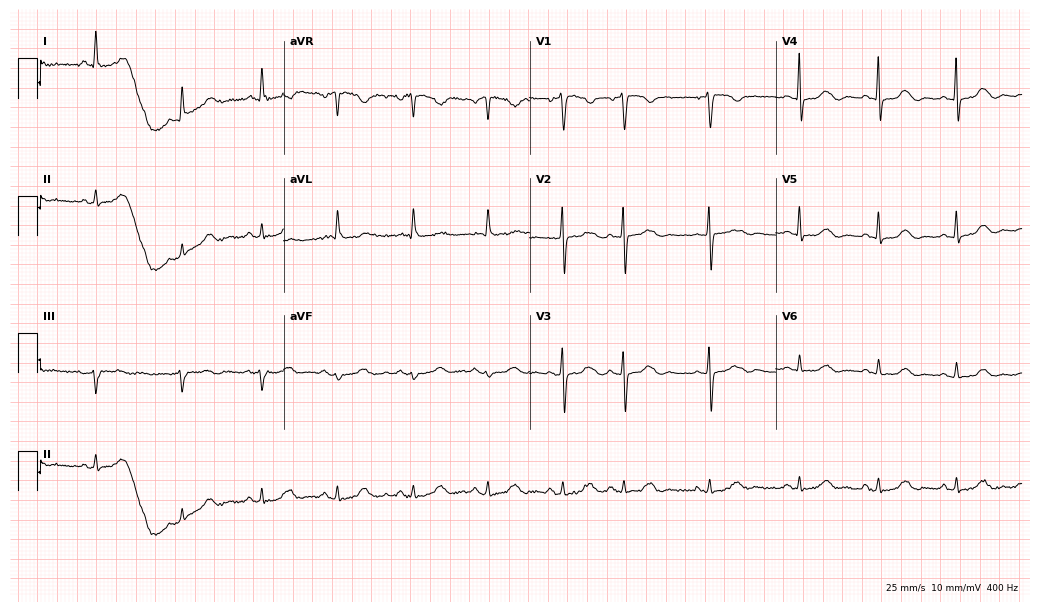
12-lead ECG from an 86-year-old woman. Screened for six findings — first-degree AV block, right bundle branch block, left bundle branch block, sinus bradycardia, atrial fibrillation, sinus tachycardia — none is recorded. Other findings, if any, are not listed.